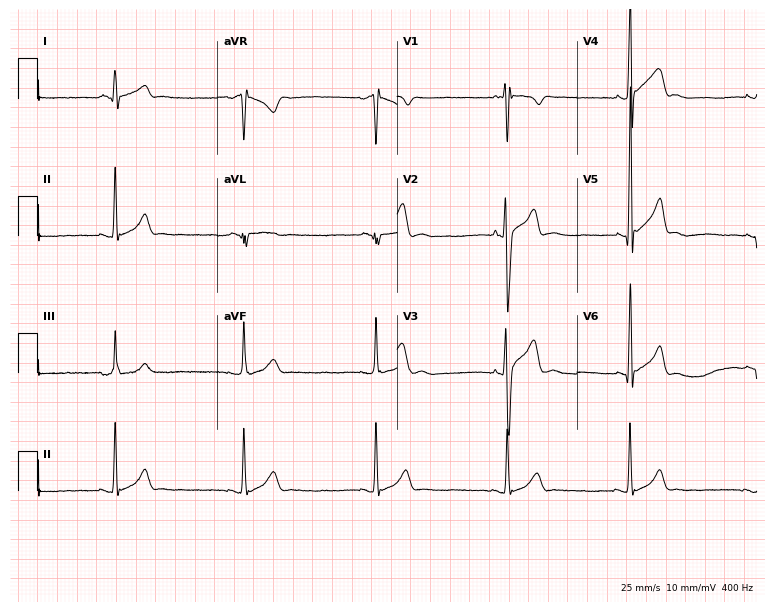
ECG (7.3-second recording at 400 Hz) — a man, 20 years old. Findings include sinus bradycardia (a sinus rate of 50 beats per minute or less).